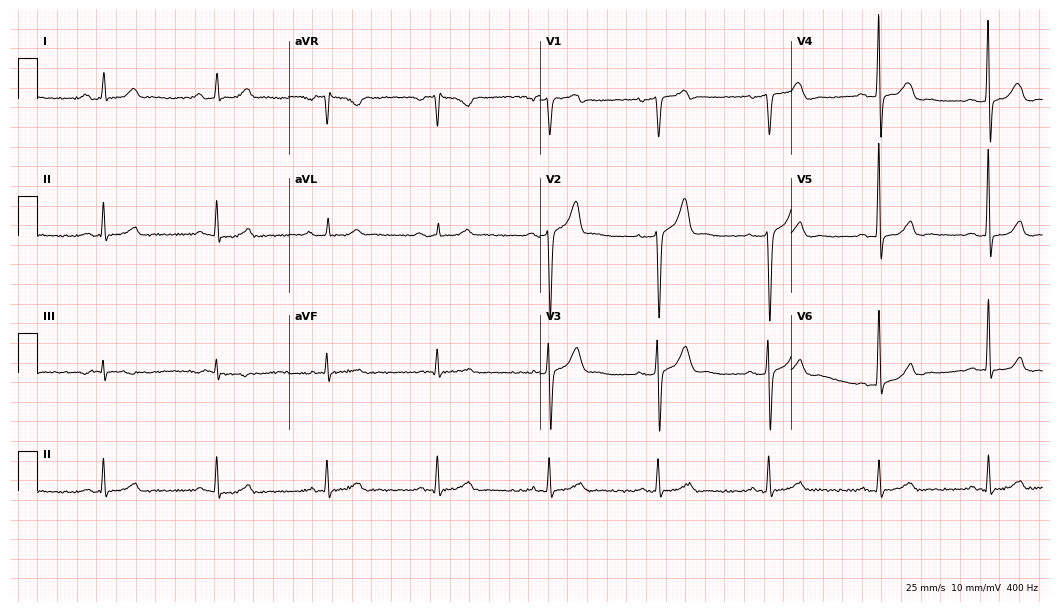
Electrocardiogram, a 64-year-old man. Overall reading on record: normal ECG.